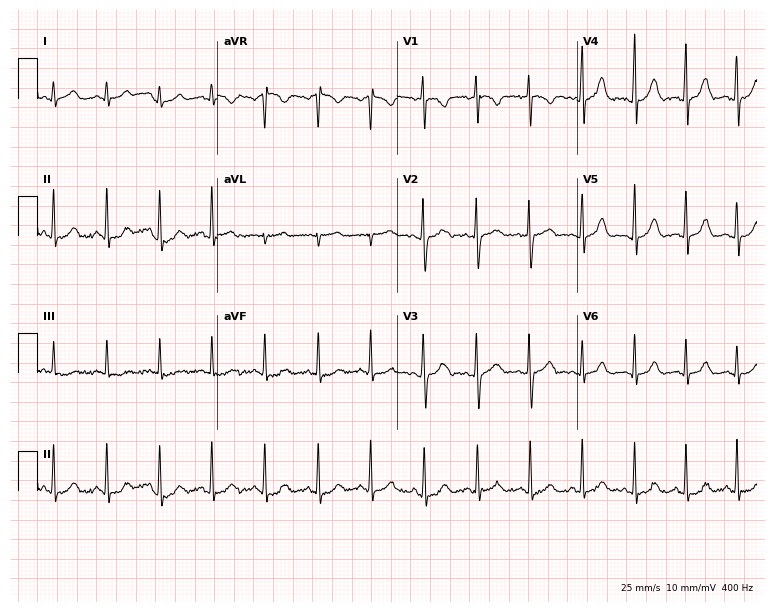
Standard 12-lead ECG recorded from a 20-year-old female (7.3-second recording at 400 Hz). None of these six findings is recorded: first-degree AV block, right bundle branch block (RBBB), left bundle branch block (LBBB), sinus bradycardia, atrial fibrillation (AF), sinus tachycardia. Findings outside these six are not listed.